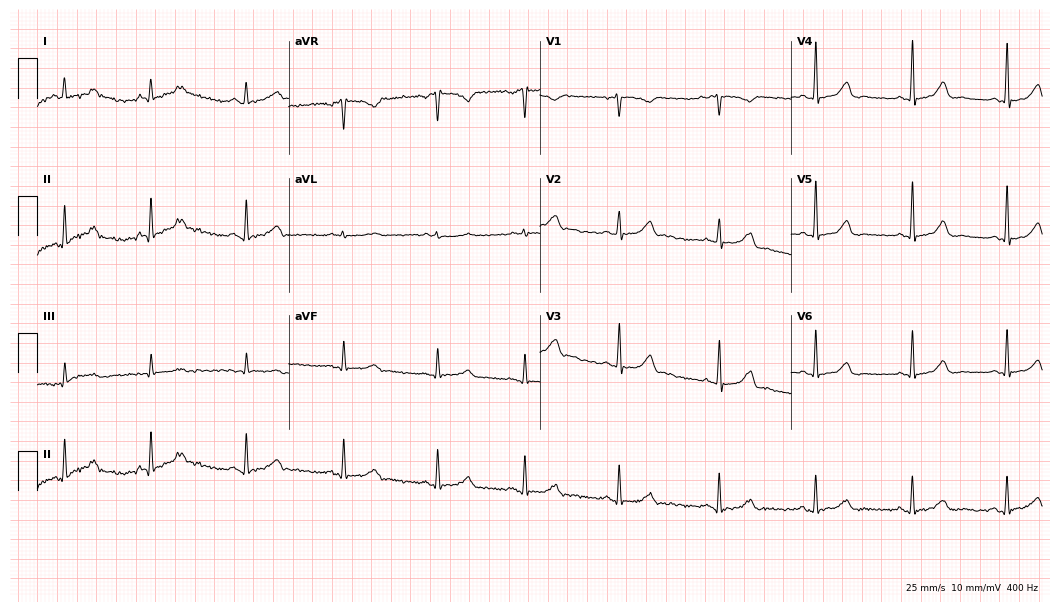
Electrocardiogram, a female, 35 years old. Overall reading on record: normal ECG.